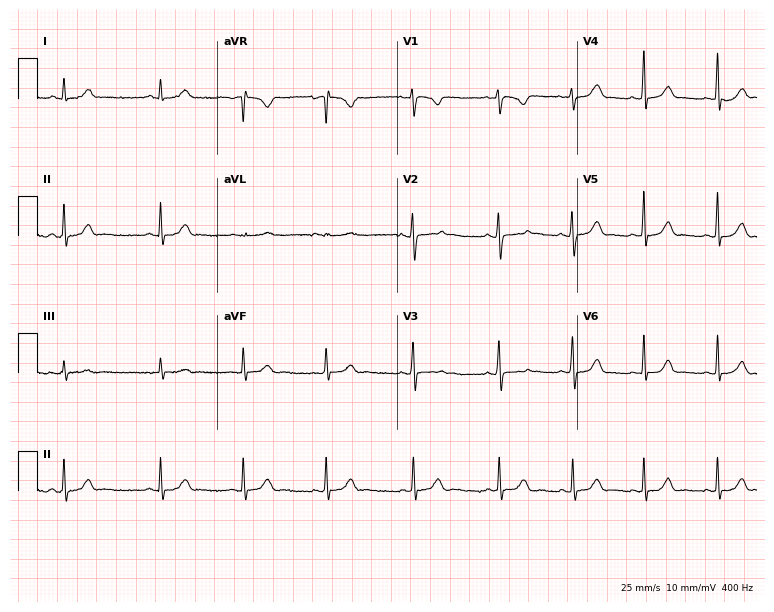
Resting 12-lead electrocardiogram. Patient: a female, 20 years old. None of these six findings is recorded: first-degree AV block, right bundle branch block, left bundle branch block, sinus bradycardia, atrial fibrillation, sinus tachycardia.